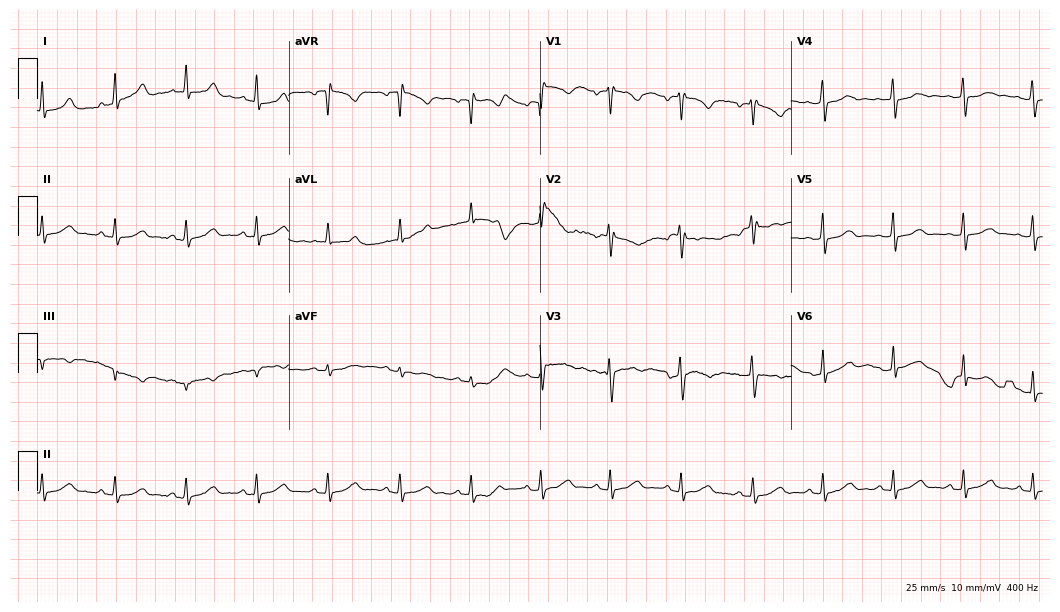
Standard 12-lead ECG recorded from a 30-year-old female patient (10.2-second recording at 400 Hz). Read as a normal ECG.